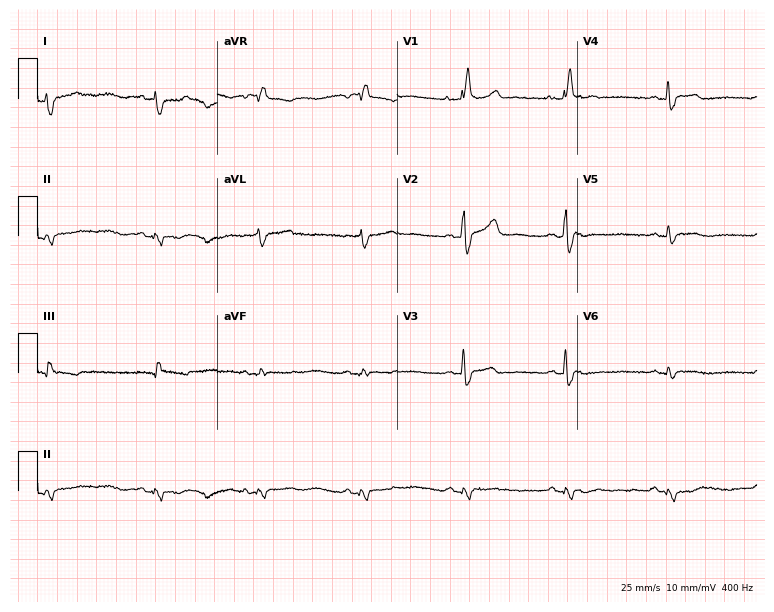
Electrocardiogram (7.3-second recording at 400 Hz), a woman, 48 years old. Interpretation includes right bundle branch block.